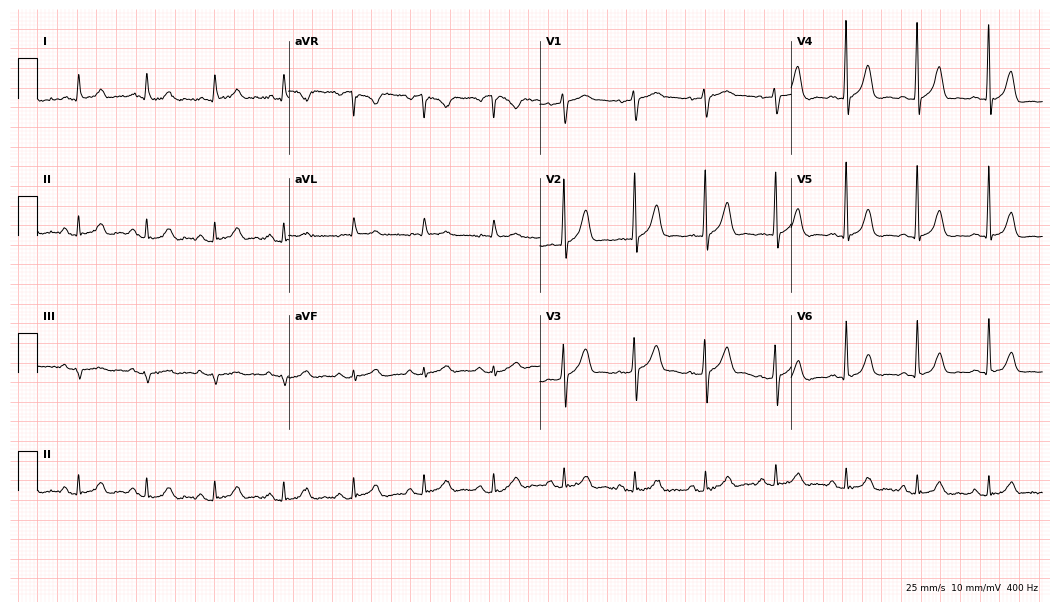
Standard 12-lead ECG recorded from a 79-year-old male patient. None of these six findings is recorded: first-degree AV block, right bundle branch block, left bundle branch block, sinus bradycardia, atrial fibrillation, sinus tachycardia.